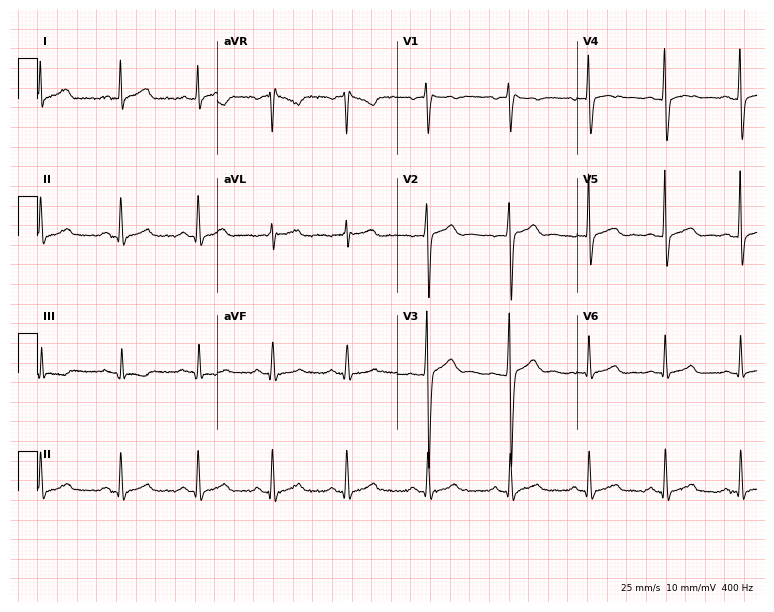
ECG (7.3-second recording at 400 Hz) — a 37-year-old male. Screened for six findings — first-degree AV block, right bundle branch block, left bundle branch block, sinus bradycardia, atrial fibrillation, sinus tachycardia — none is recorded.